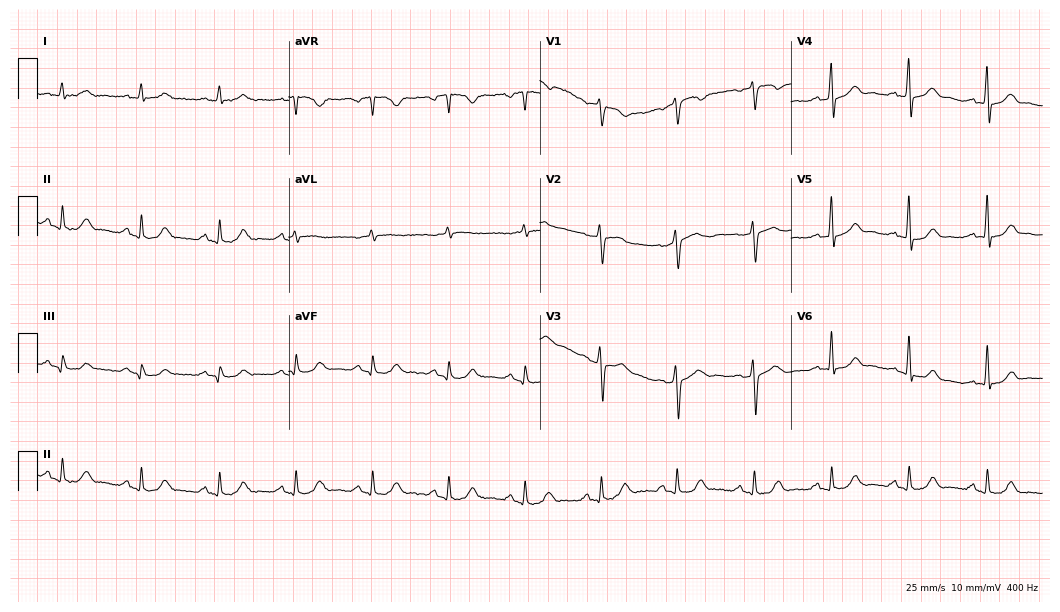
ECG (10.2-second recording at 400 Hz) — a man, 55 years old. Labelled as a normal ECG.